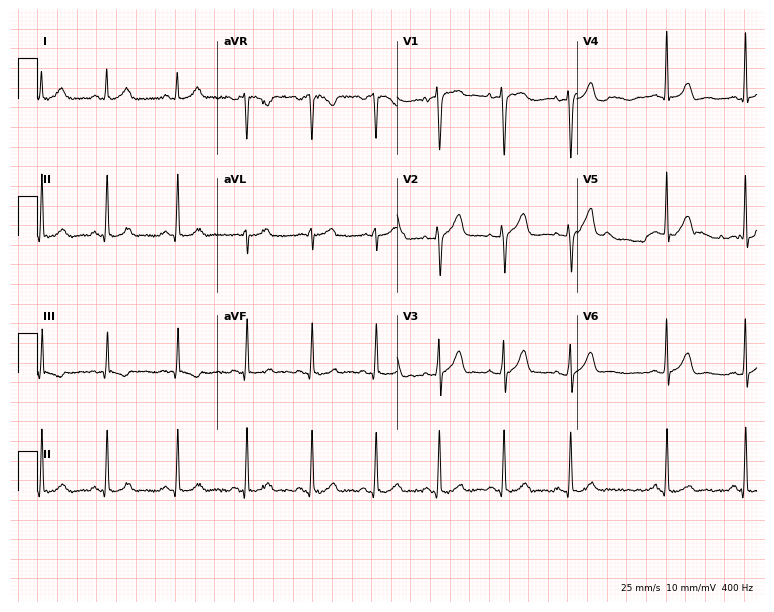
Electrocardiogram, a 37-year-old female patient. Of the six screened findings (first-degree AV block, right bundle branch block (RBBB), left bundle branch block (LBBB), sinus bradycardia, atrial fibrillation (AF), sinus tachycardia), none is recorded. Other findings, if any, are not listed.